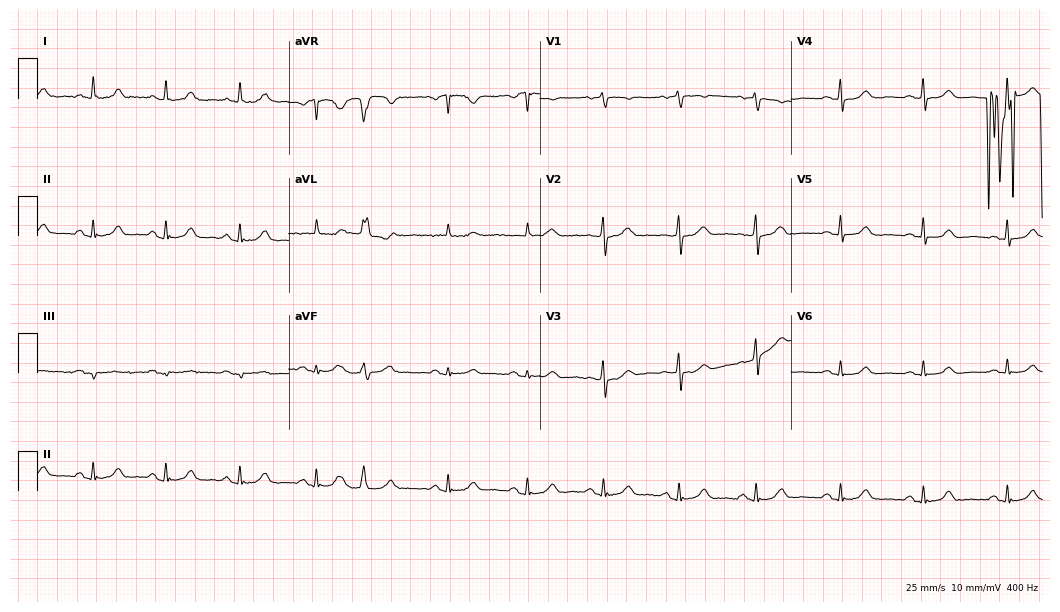
Resting 12-lead electrocardiogram (10.2-second recording at 400 Hz). Patient: a female, 64 years old. None of these six findings is recorded: first-degree AV block, right bundle branch block, left bundle branch block, sinus bradycardia, atrial fibrillation, sinus tachycardia. Findings outside these six are not listed.